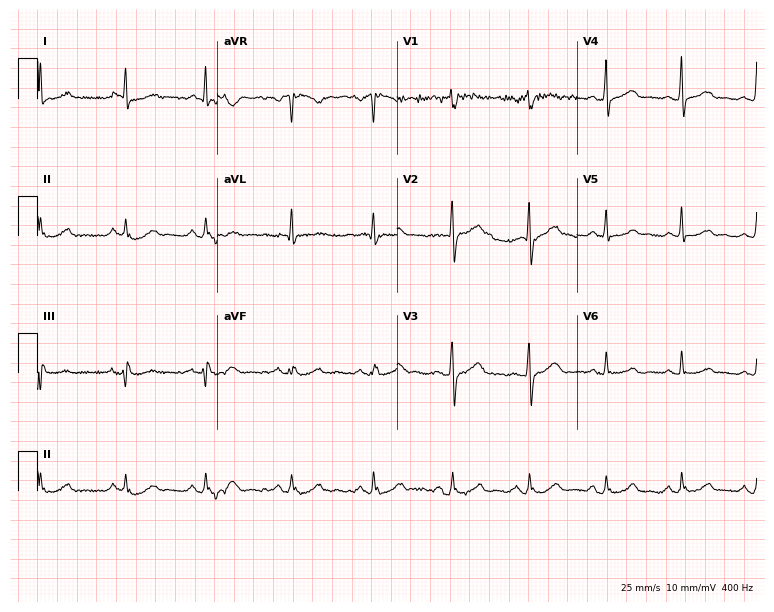
12-lead ECG from a male, 53 years old (7.3-second recording at 400 Hz). Recorded interpretation: within normal limits.